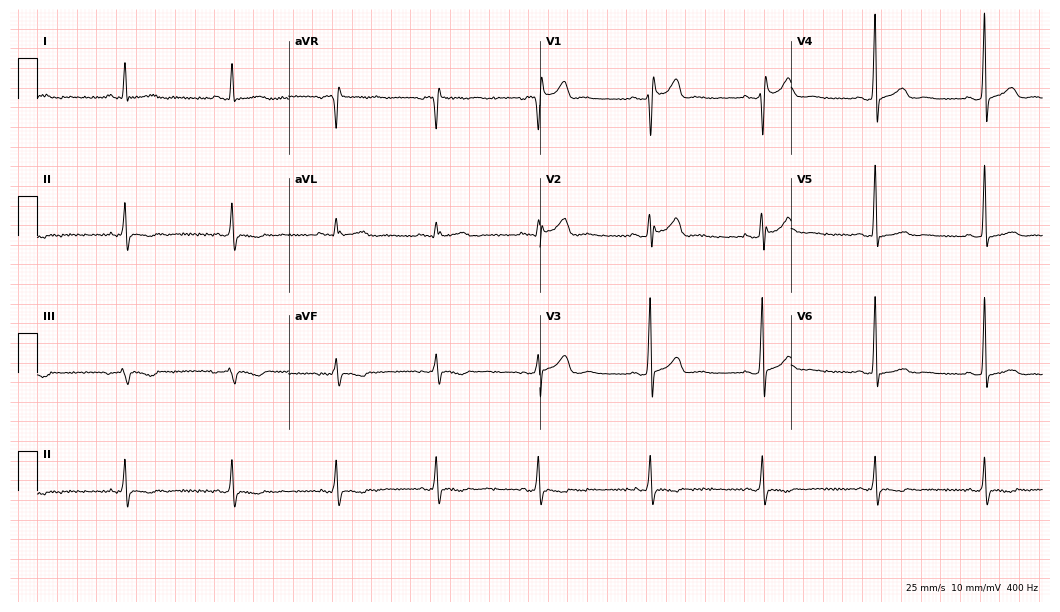
12-lead ECG (10.2-second recording at 400 Hz) from a male, 34 years old. Screened for six findings — first-degree AV block, right bundle branch block, left bundle branch block, sinus bradycardia, atrial fibrillation, sinus tachycardia — none is recorded.